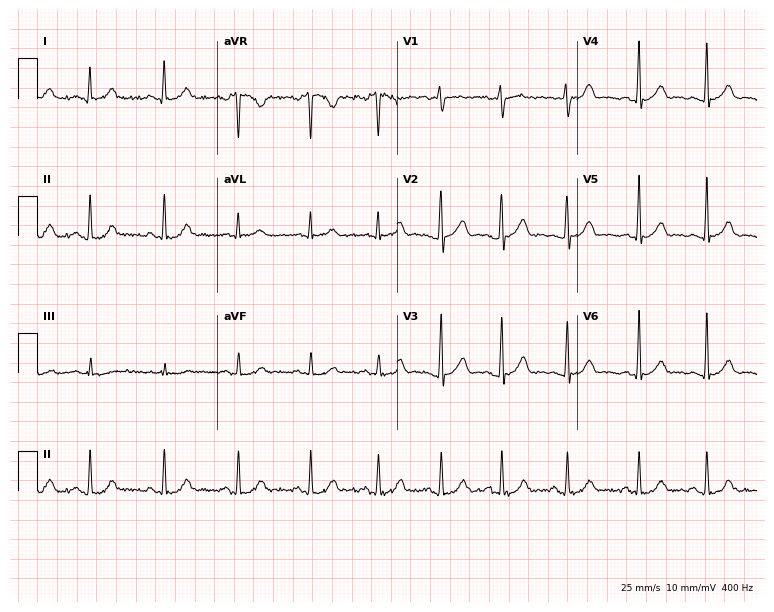
Electrocardiogram, a 29-year-old female. Overall reading on record: normal ECG.